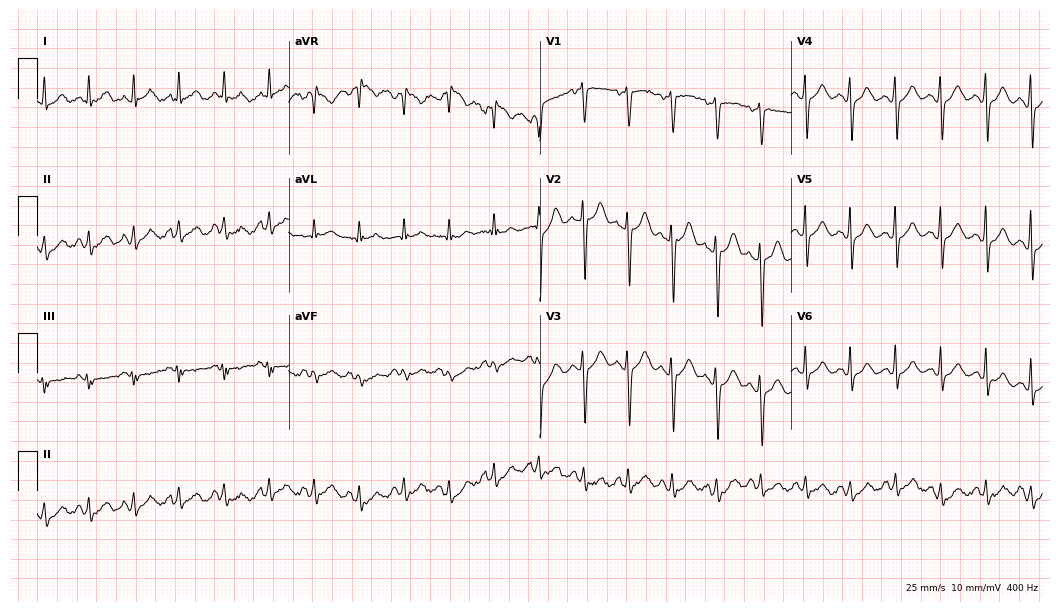
Resting 12-lead electrocardiogram. Patient: a 34-year-old female. The tracing shows sinus tachycardia (a sinus rate of 100 beats per minute or more).